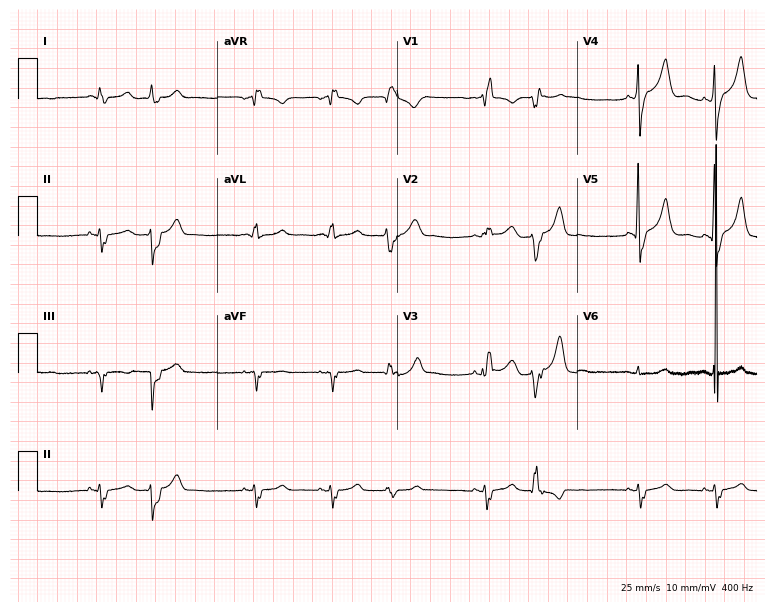
Standard 12-lead ECG recorded from a man, 70 years old (7.3-second recording at 400 Hz). The tracing shows right bundle branch block (RBBB).